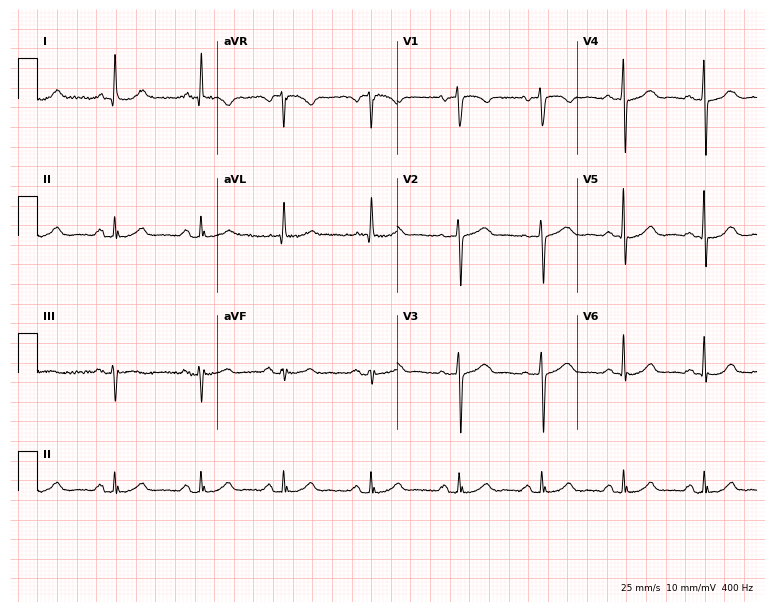
12-lead ECG from a 59-year-old woman (7.3-second recording at 400 Hz). Recorded interpretation: within normal limits.